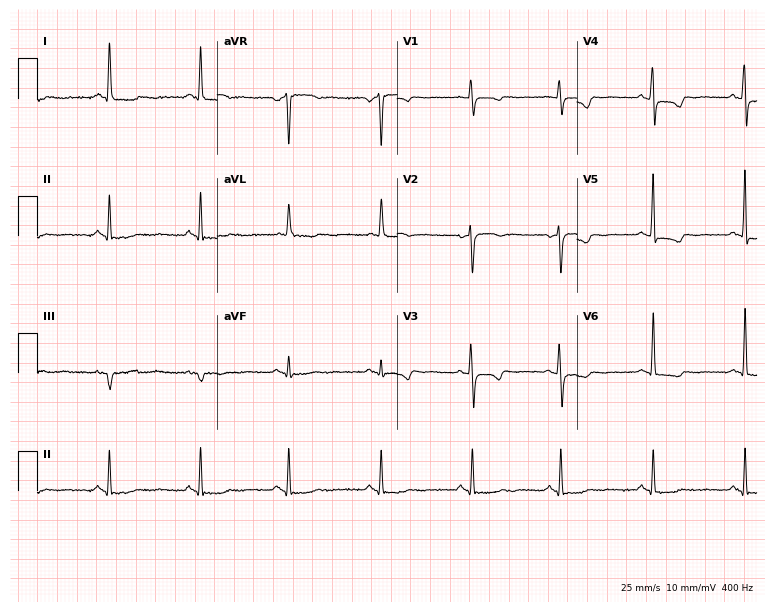
Resting 12-lead electrocardiogram. Patient: a woman, 55 years old. None of these six findings is recorded: first-degree AV block, right bundle branch block, left bundle branch block, sinus bradycardia, atrial fibrillation, sinus tachycardia.